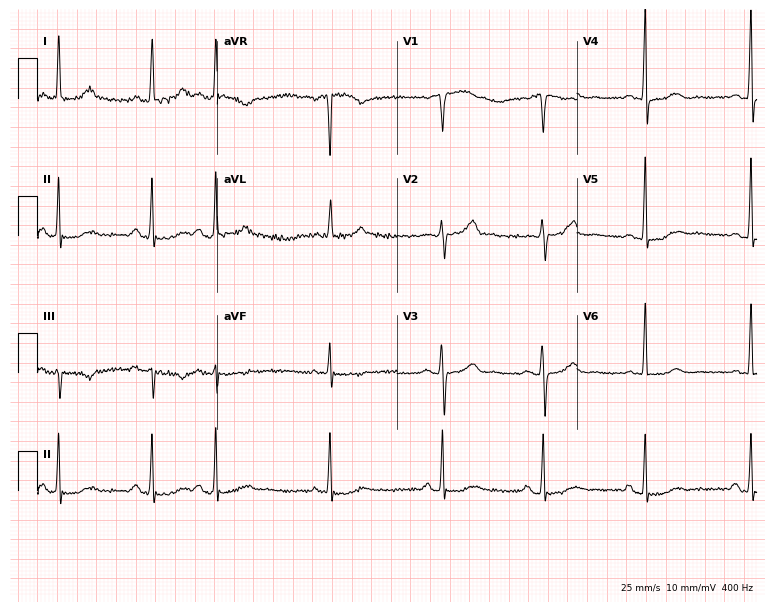
Standard 12-lead ECG recorded from an 81-year-old woman. None of these six findings is recorded: first-degree AV block, right bundle branch block, left bundle branch block, sinus bradycardia, atrial fibrillation, sinus tachycardia.